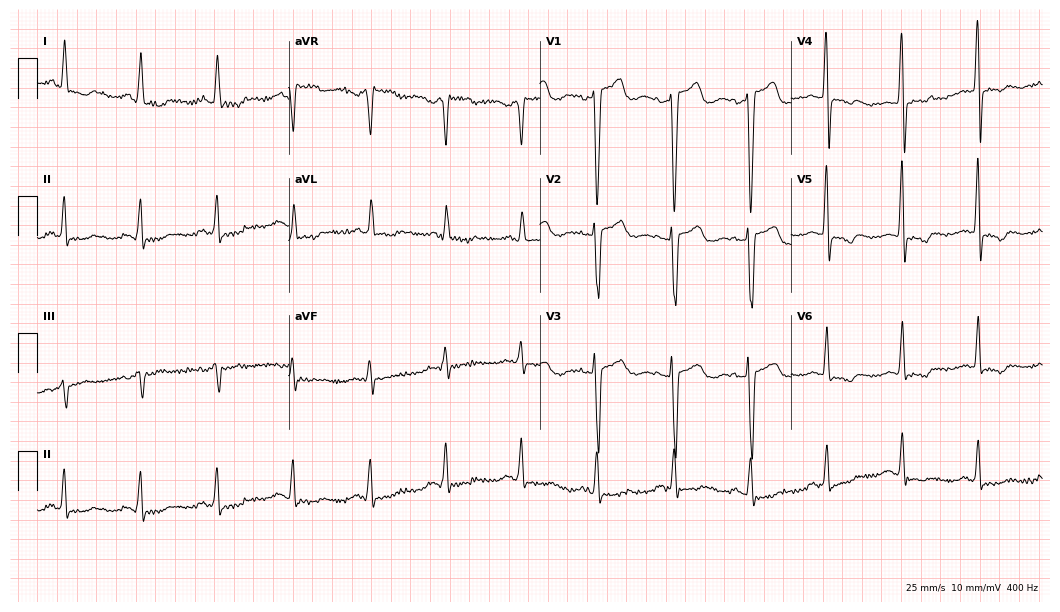
ECG — a woman, 66 years old. Screened for six findings — first-degree AV block, right bundle branch block (RBBB), left bundle branch block (LBBB), sinus bradycardia, atrial fibrillation (AF), sinus tachycardia — none is recorded.